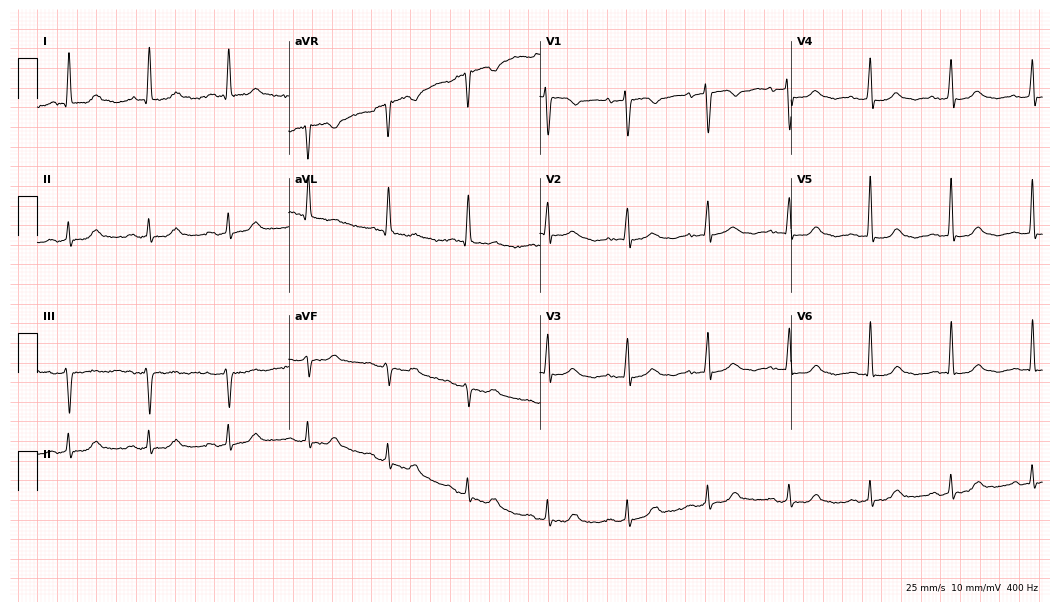
Resting 12-lead electrocardiogram (10.2-second recording at 400 Hz). Patient: a woman, 74 years old. None of these six findings is recorded: first-degree AV block, right bundle branch block, left bundle branch block, sinus bradycardia, atrial fibrillation, sinus tachycardia. Other findings, if any, are not listed.